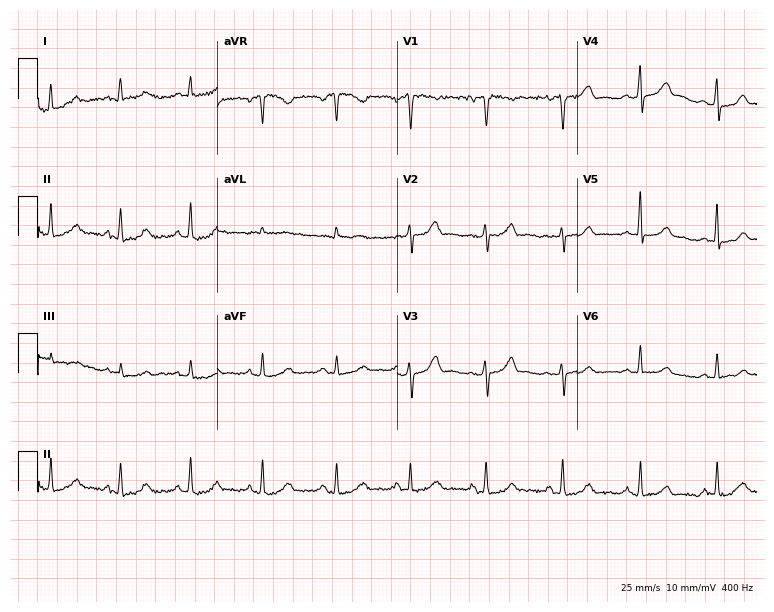
ECG (7.3-second recording at 400 Hz) — a woman, 50 years old. Labelled as a normal ECG.